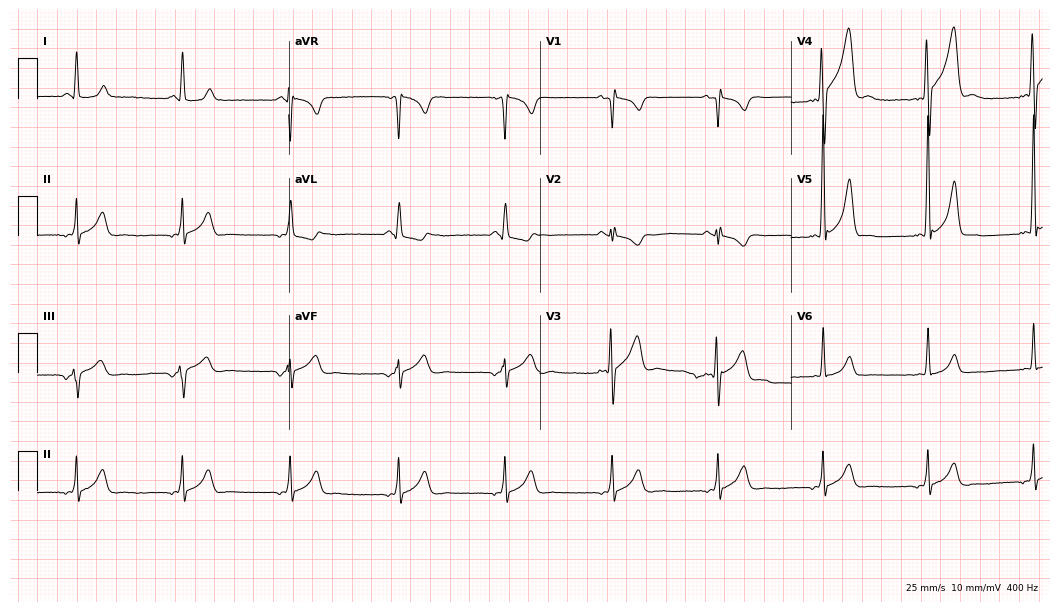
Electrocardiogram, a 45-year-old male patient. Of the six screened findings (first-degree AV block, right bundle branch block (RBBB), left bundle branch block (LBBB), sinus bradycardia, atrial fibrillation (AF), sinus tachycardia), none is recorded.